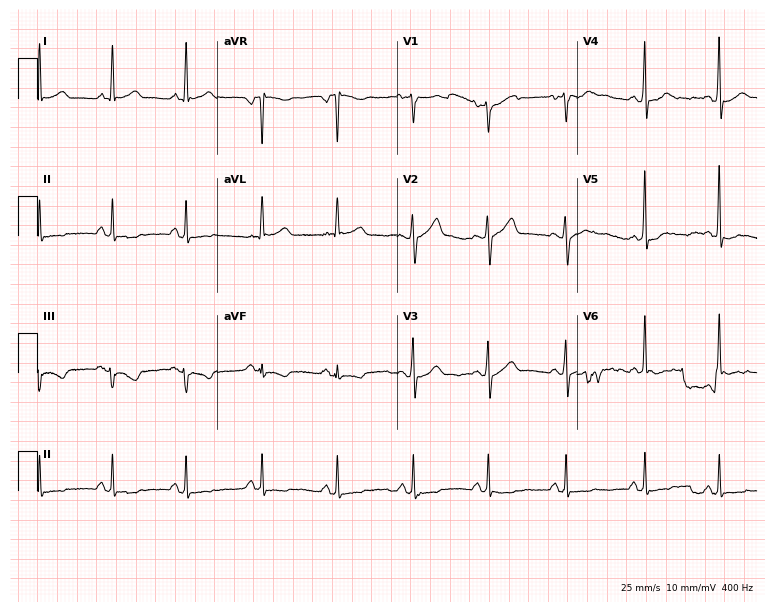
ECG (7.3-second recording at 400 Hz) — a 57-year-old male. Screened for six findings — first-degree AV block, right bundle branch block (RBBB), left bundle branch block (LBBB), sinus bradycardia, atrial fibrillation (AF), sinus tachycardia — none is recorded. Other findings, if any, are not listed.